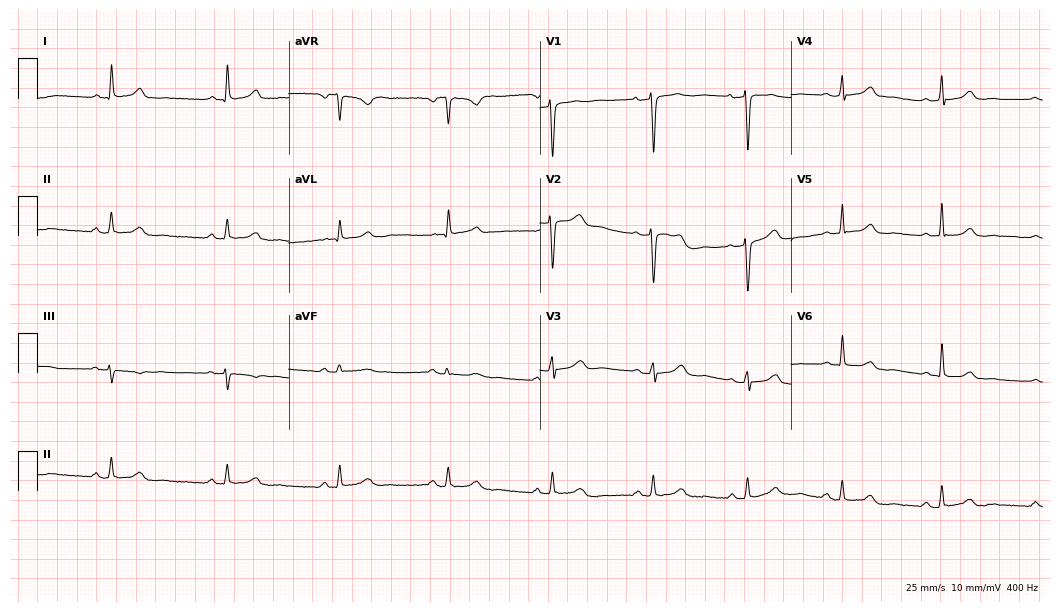
Standard 12-lead ECG recorded from a female patient, 38 years old. None of these six findings is recorded: first-degree AV block, right bundle branch block, left bundle branch block, sinus bradycardia, atrial fibrillation, sinus tachycardia.